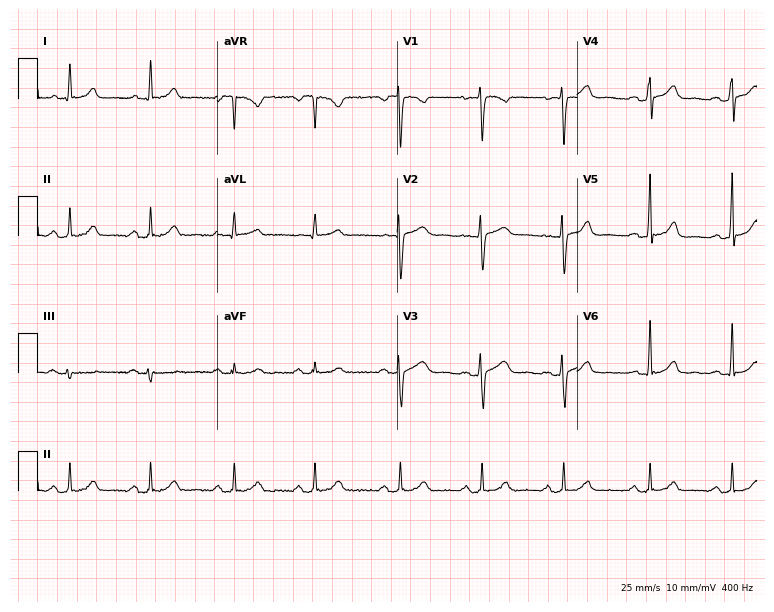
Standard 12-lead ECG recorded from a woman, 38 years old. Read as a normal ECG.